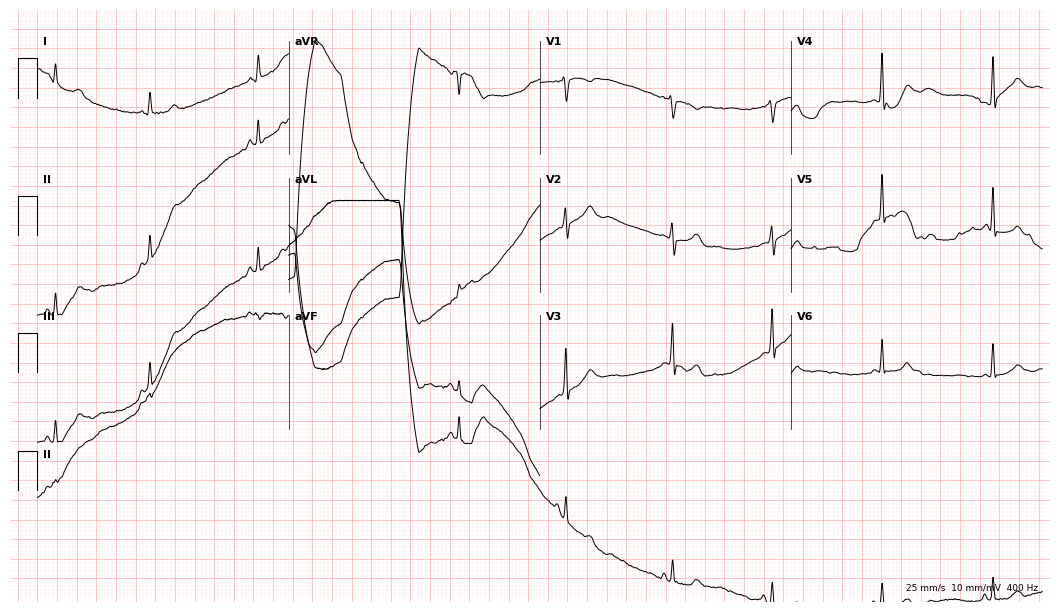
Electrocardiogram (10.2-second recording at 400 Hz), a 30-year-old female. Of the six screened findings (first-degree AV block, right bundle branch block, left bundle branch block, sinus bradycardia, atrial fibrillation, sinus tachycardia), none is recorded. Findings outside these six are not listed.